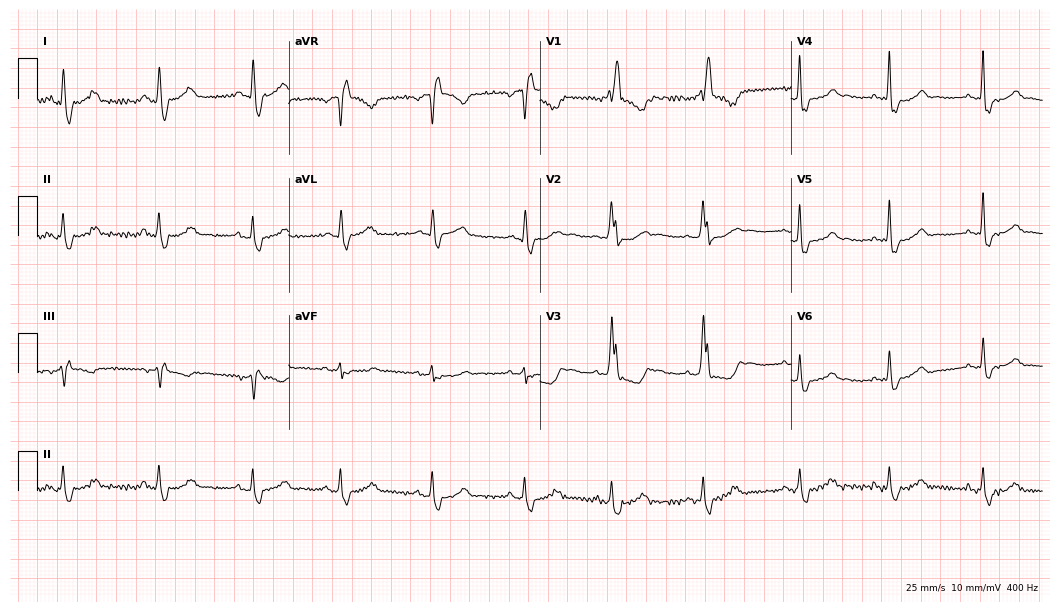
ECG (10.2-second recording at 400 Hz) — a woman, 64 years old. Findings include right bundle branch block (RBBB).